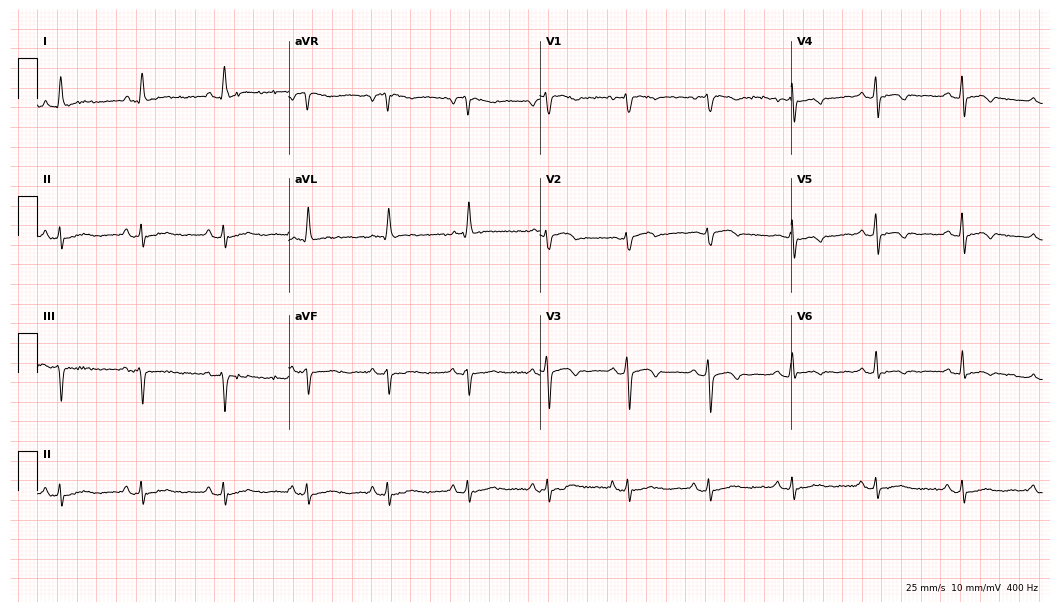
ECG — a female patient, 58 years old. Screened for six findings — first-degree AV block, right bundle branch block (RBBB), left bundle branch block (LBBB), sinus bradycardia, atrial fibrillation (AF), sinus tachycardia — none is recorded.